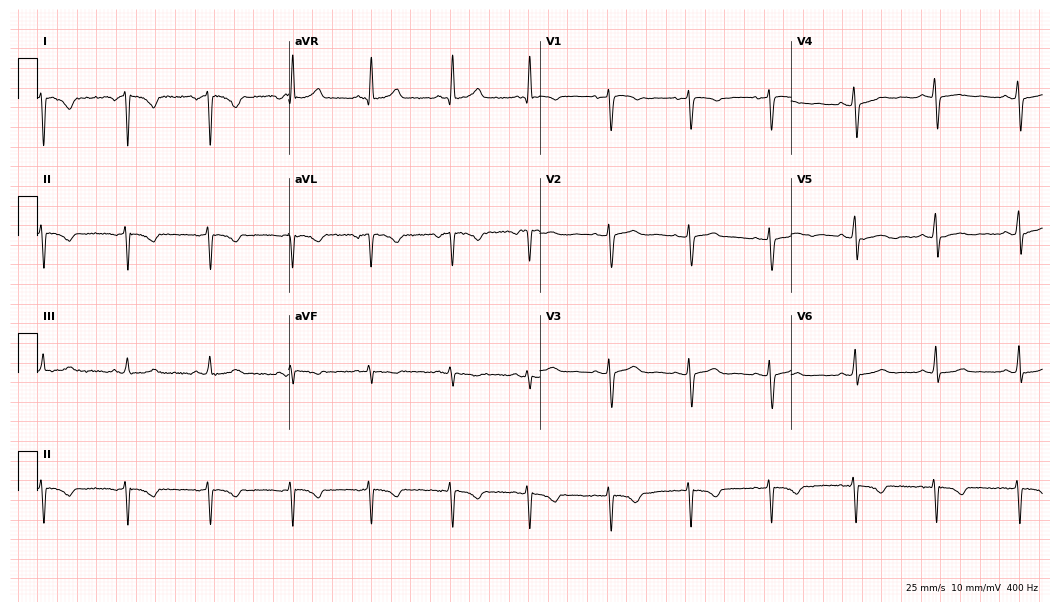
Standard 12-lead ECG recorded from a female, 23 years old. None of these six findings is recorded: first-degree AV block, right bundle branch block, left bundle branch block, sinus bradycardia, atrial fibrillation, sinus tachycardia. Only these six findings were labelled.